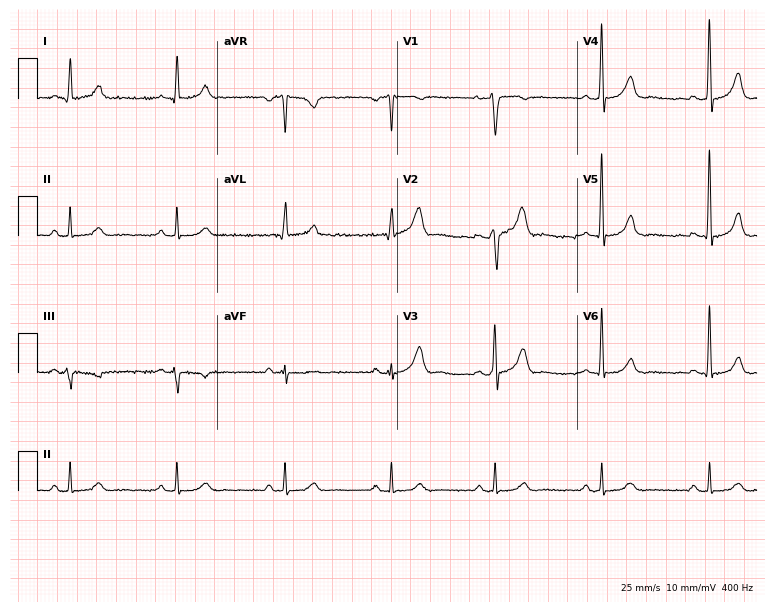
Electrocardiogram (7.3-second recording at 400 Hz), a 48-year-old man. Overall reading on record: normal ECG.